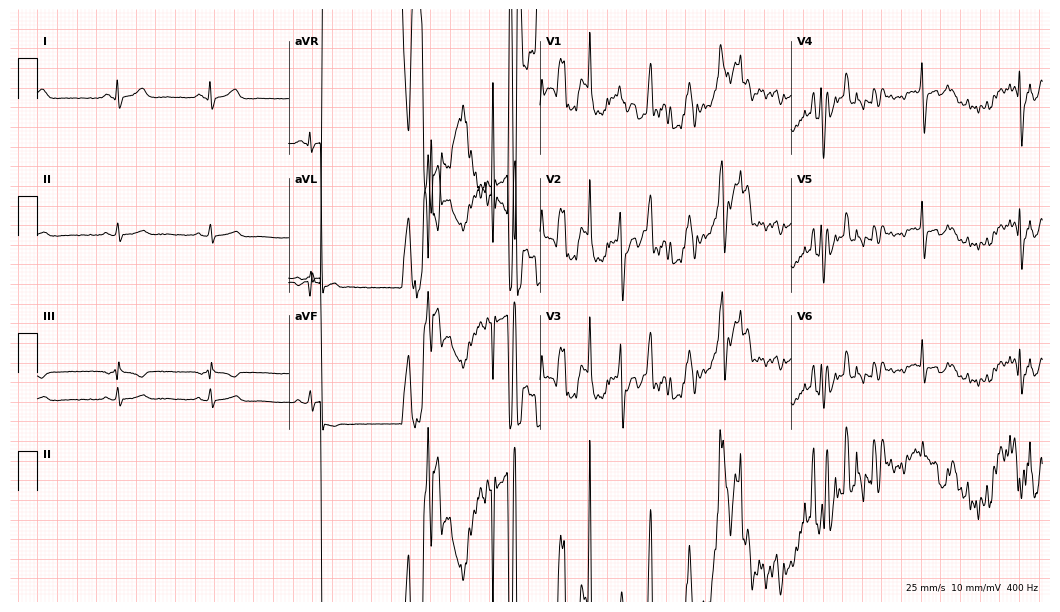
Electrocardiogram, a male patient, 44 years old. Of the six screened findings (first-degree AV block, right bundle branch block (RBBB), left bundle branch block (LBBB), sinus bradycardia, atrial fibrillation (AF), sinus tachycardia), none is recorded.